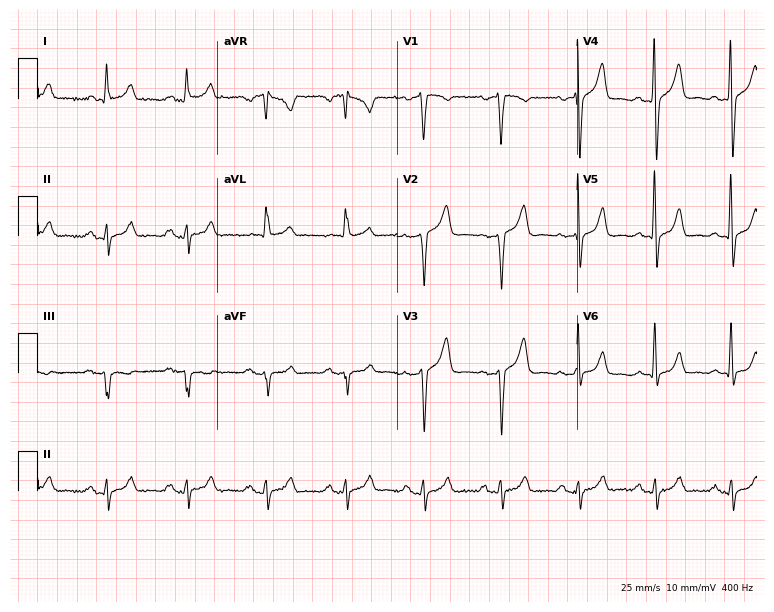
ECG — a 62-year-old male. Screened for six findings — first-degree AV block, right bundle branch block, left bundle branch block, sinus bradycardia, atrial fibrillation, sinus tachycardia — none is recorded.